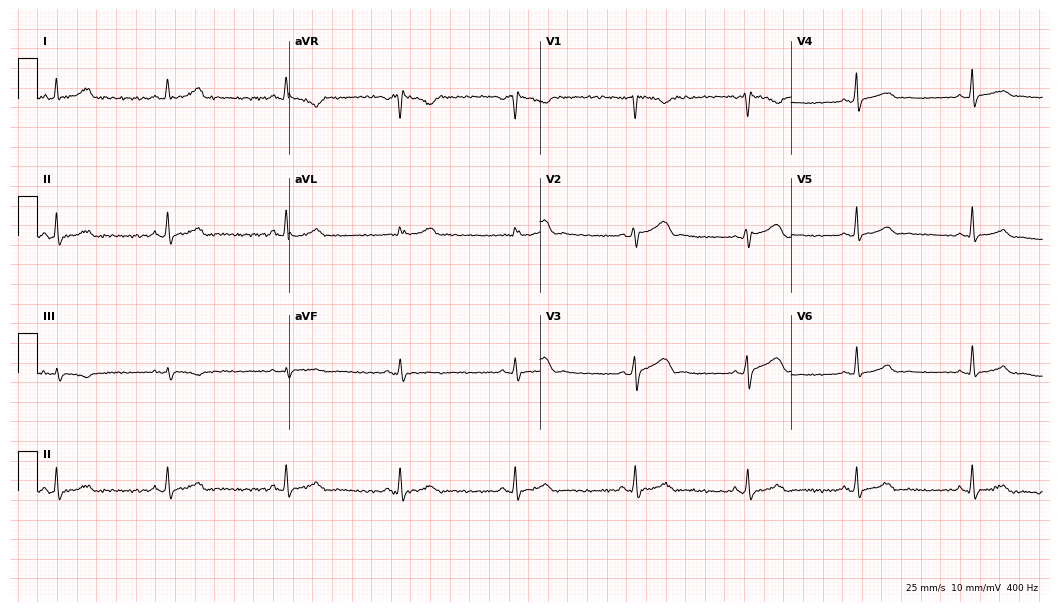
Resting 12-lead electrocardiogram. Patient: a 27-year-old female. Read as a normal ECG.